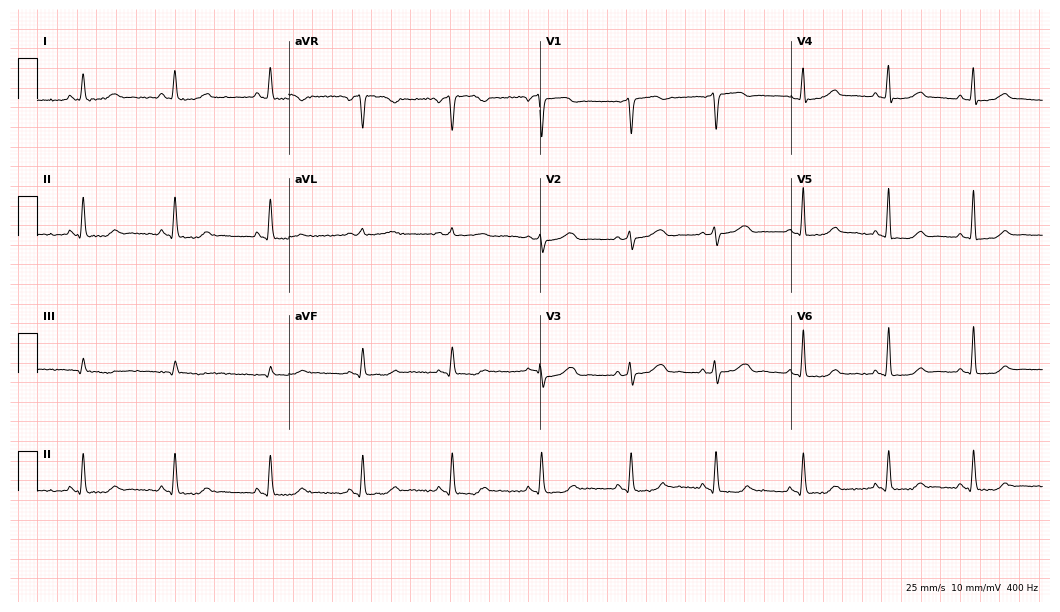
Resting 12-lead electrocardiogram (10.2-second recording at 400 Hz). Patient: a female, 68 years old. None of these six findings is recorded: first-degree AV block, right bundle branch block (RBBB), left bundle branch block (LBBB), sinus bradycardia, atrial fibrillation (AF), sinus tachycardia.